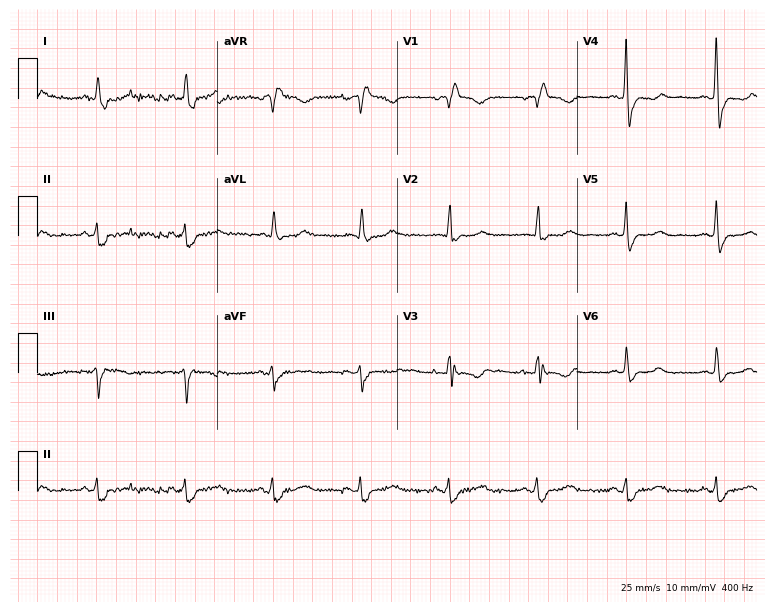
Resting 12-lead electrocardiogram. Patient: an 83-year-old female. None of these six findings is recorded: first-degree AV block, right bundle branch block, left bundle branch block, sinus bradycardia, atrial fibrillation, sinus tachycardia.